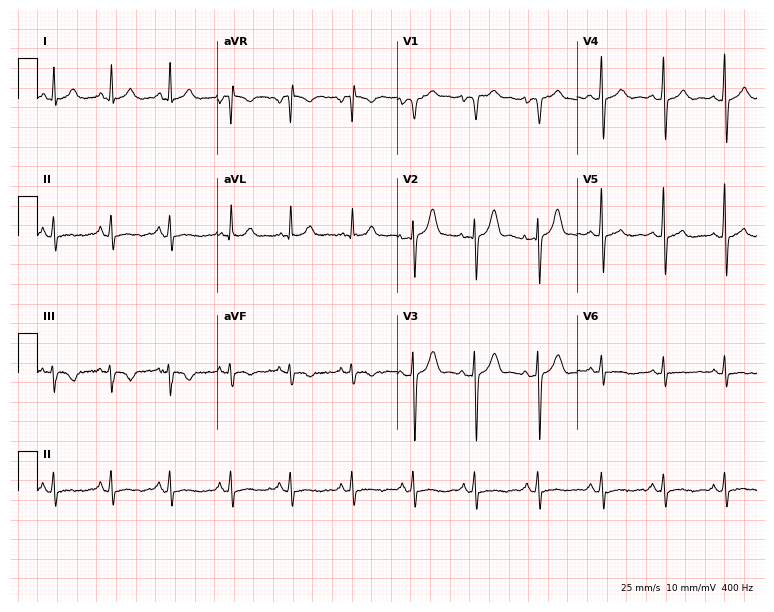
Resting 12-lead electrocardiogram (7.3-second recording at 400 Hz). Patient: a 42-year-old female. None of these six findings is recorded: first-degree AV block, right bundle branch block, left bundle branch block, sinus bradycardia, atrial fibrillation, sinus tachycardia. Other findings, if any, are not listed.